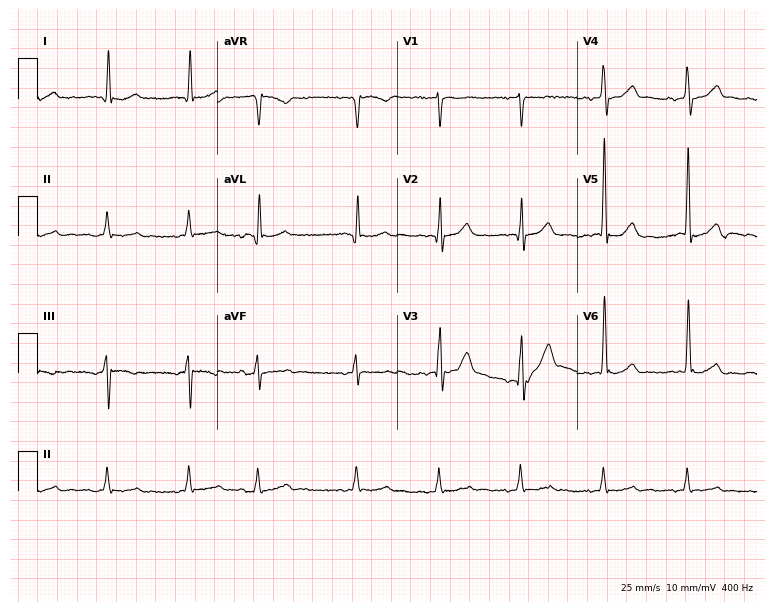
Resting 12-lead electrocardiogram (7.3-second recording at 400 Hz). Patient: a 77-year-old male. None of these six findings is recorded: first-degree AV block, right bundle branch block, left bundle branch block, sinus bradycardia, atrial fibrillation, sinus tachycardia.